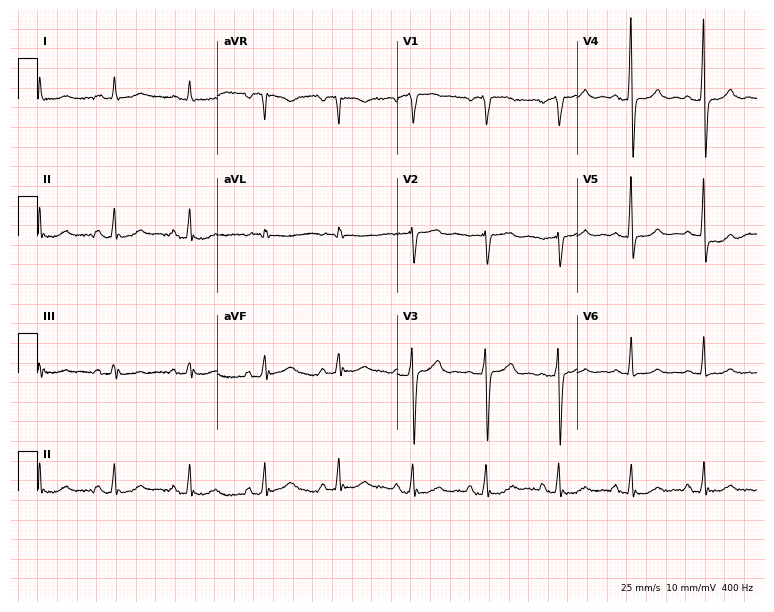
12-lead ECG from a 56-year-old female. Recorded interpretation: within normal limits.